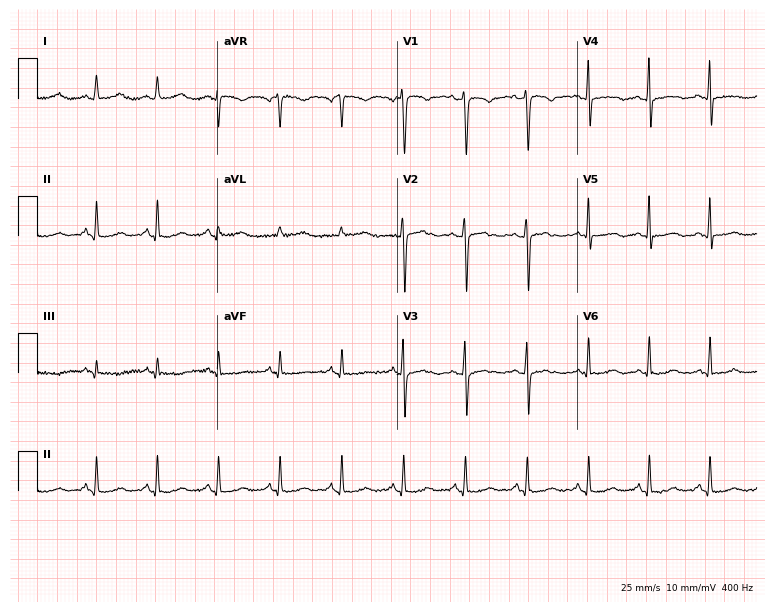
Standard 12-lead ECG recorded from a woman, 48 years old (7.3-second recording at 400 Hz). None of these six findings is recorded: first-degree AV block, right bundle branch block, left bundle branch block, sinus bradycardia, atrial fibrillation, sinus tachycardia. Only these six findings were labelled.